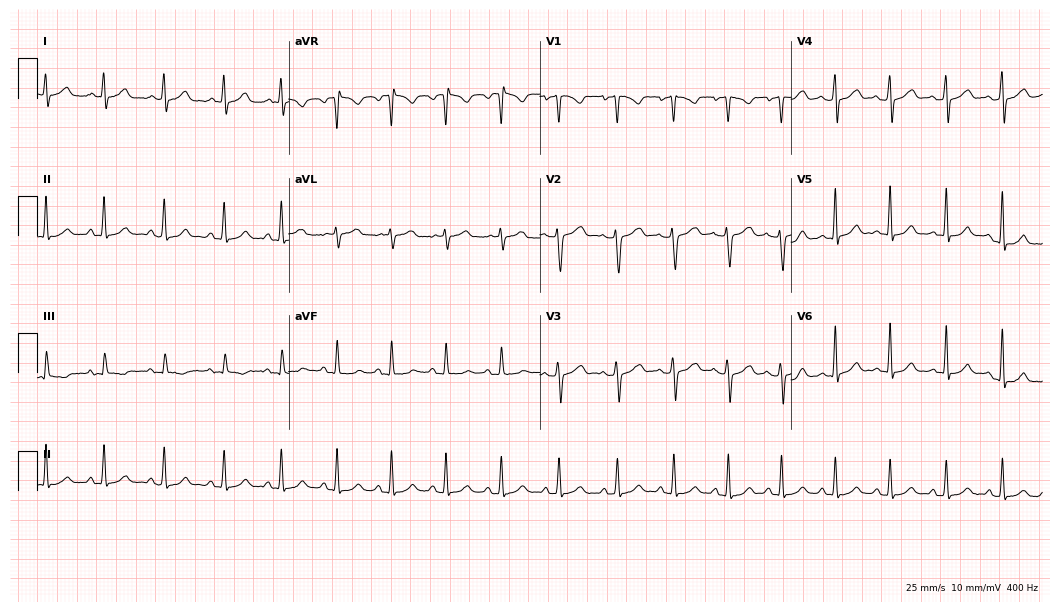
12-lead ECG from a female, 18 years old (10.2-second recording at 400 Hz). Shows sinus tachycardia (a sinus rate of 100 beats per minute or more).